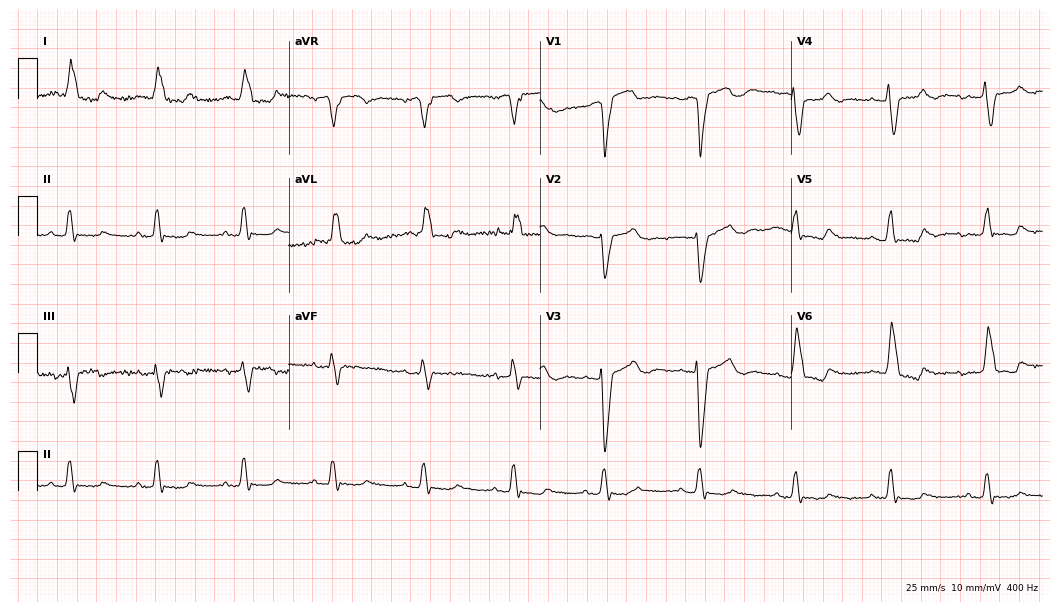
ECG (10.2-second recording at 400 Hz) — an 84-year-old female patient. Findings include left bundle branch block.